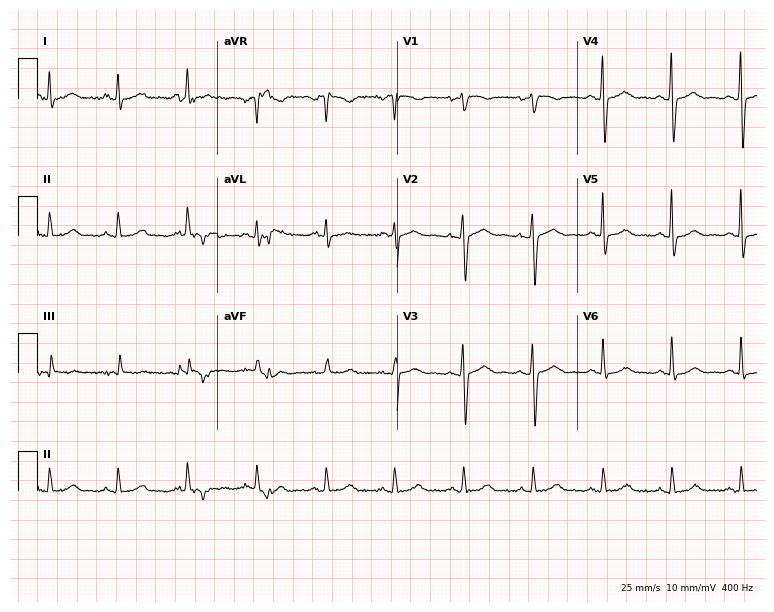
Standard 12-lead ECG recorded from a 59-year-old woman. Read as a normal ECG.